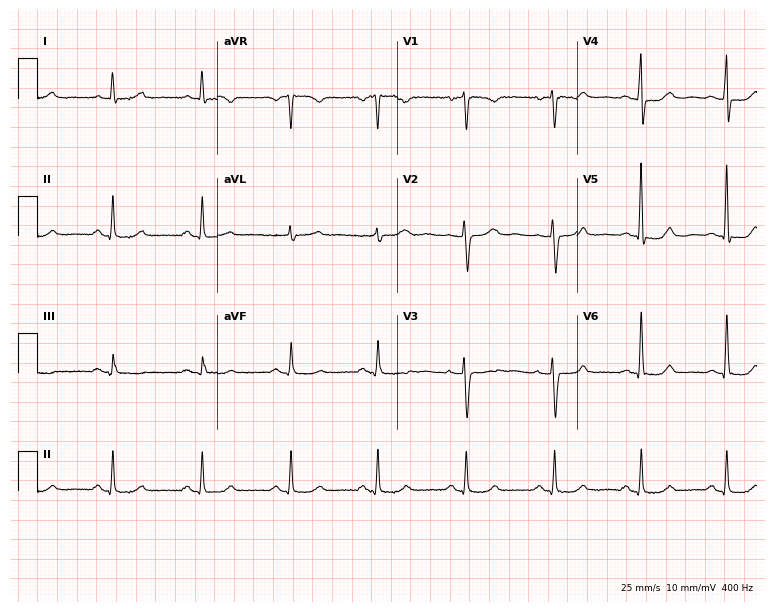
Resting 12-lead electrocardiogram. Patient: a 63-year-old female. None of these six findings is recorded: first-degree AV block, right bundle branch block (RBBB), left bundle branch block (LBBB), sinus bradycardia, atrial fibrillation (AF), sinus tachycardia.